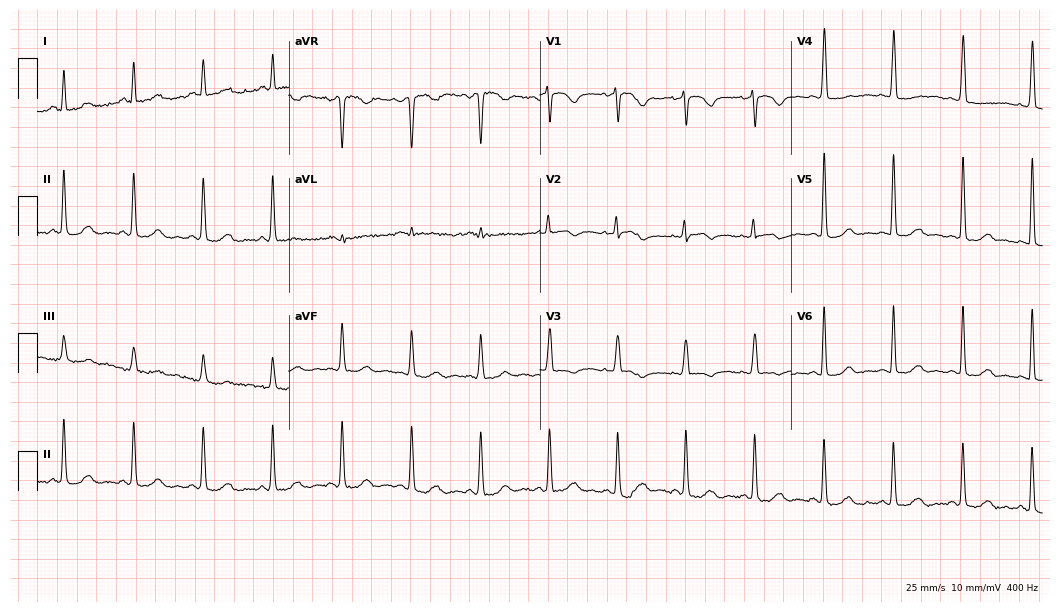
Electrocardiogram, a 60-year-old female. Of the six screened findings (first-degree AV block, right bundle branch block (RBBB), left bundle branch block (LBBB), sinus bradycardia, atrial fibrillation (AF), sinus tachycardia), none is recorded.